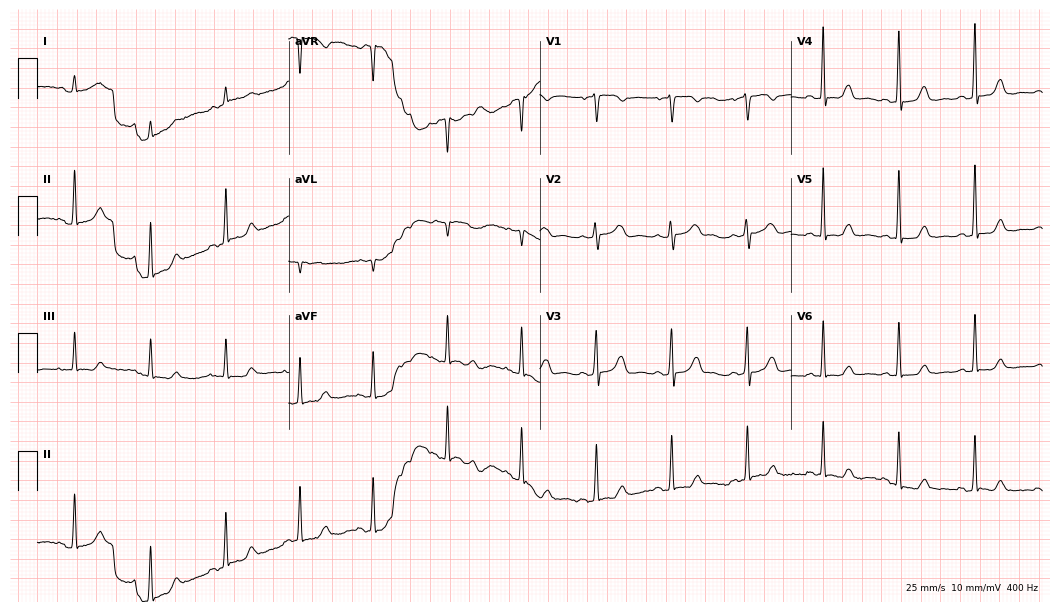
Electrocardiogram, a 65-year-old female. Of the six screened findings (first-degree AV block, right bundle branch block (RBBB), left bundle branch block (LBBB), sinus bradycardia, atrial fibrillation (AF), sinus tachycardia), none is recorded.